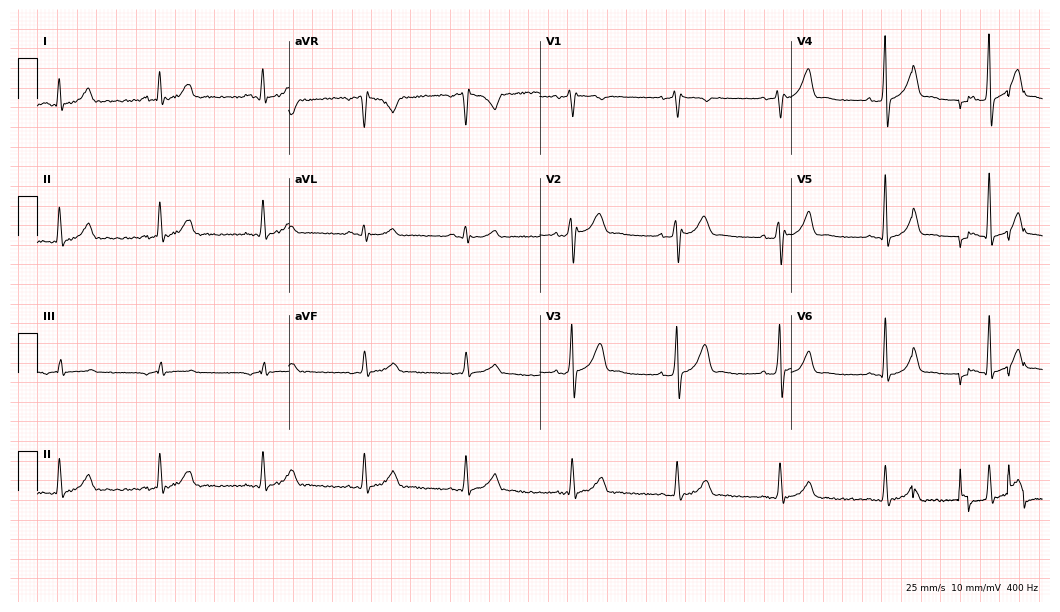
Standard 12-lead ECG recorded from a man, 44 years old. None of these six findings is recorded: first-degree AV block, right bundle branch block, left bundle branch block, sinus bradycardia, atrial fibrillation, sinus tachycardia. Findings outside these six are not listed.